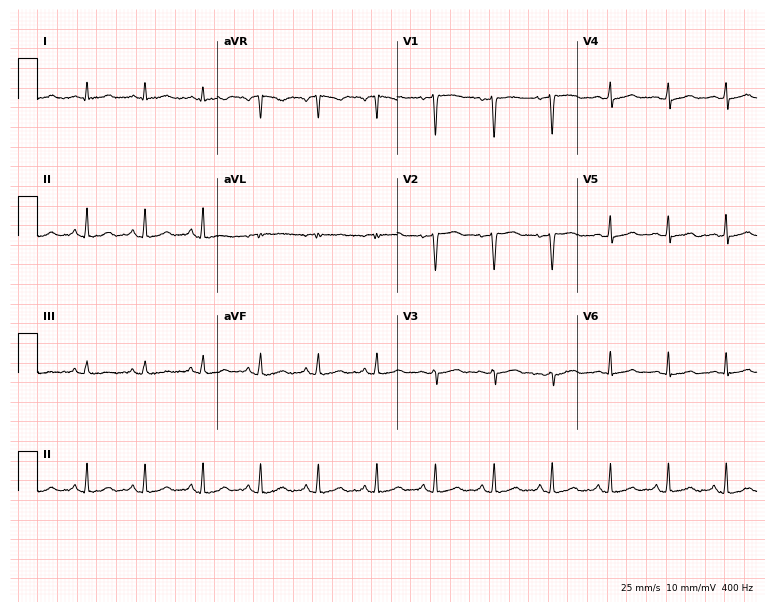
Resting 12-lead electrocardiogram (7.3-second recording at 400 Hz). Patient: a 35-year-old woman. The tracing shows sinus tachycardia (a sinus rate of 100 beats per minute or more).